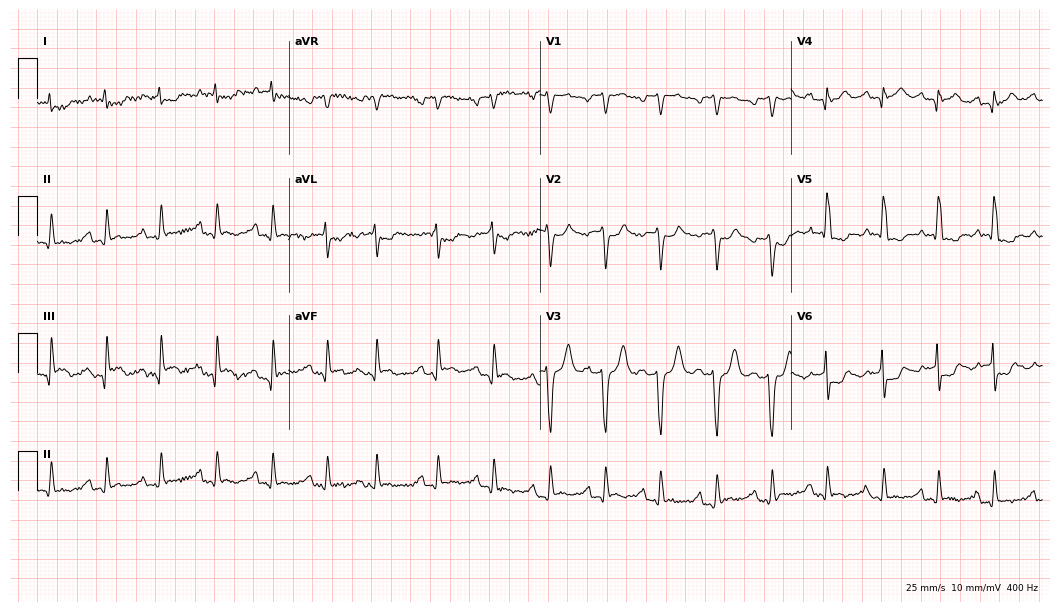
ECG (10.2-second recording at 400 Hz) — a 73-year-old male patient. Findings include sinus tachycardia (a sinus rate of 100 beats per minute or more).